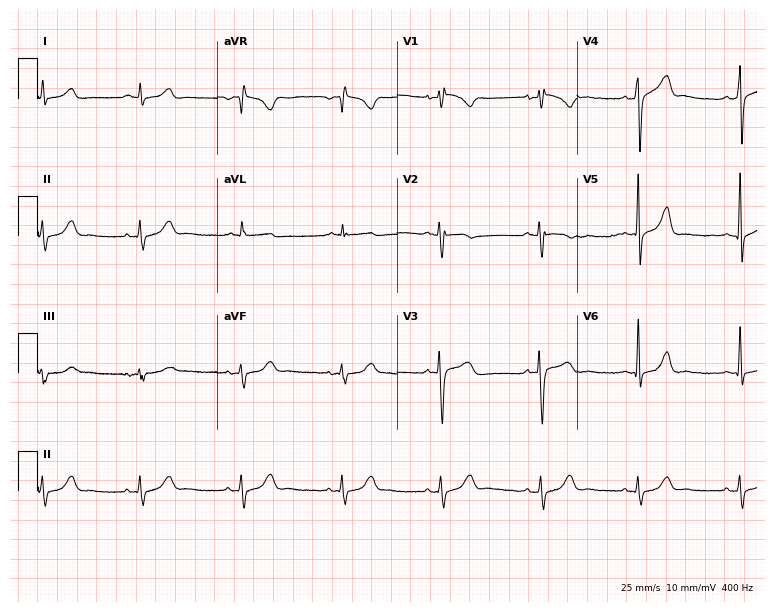
Electrocardiogram, a man, 51 years old. Of the six screened findings (first-degree AV block, right bundle branch block, left bundle branch block, sinus bradycardia, atrial fibrillation, sinus tachycardia), none is recorded. Findings outside these six are not listed.